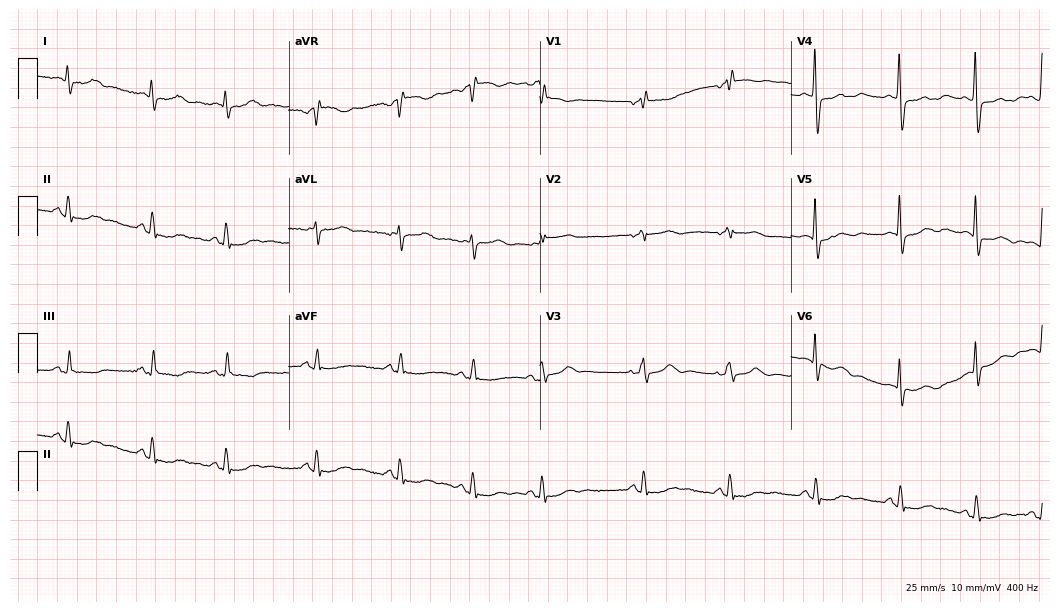
Resting 12-lead electrocardiogram (10.2-second recording at 400 Hz). Patient: an 80-year-old female. None of these six findings is recorded: first-degree AV block, right bundle branch block, left bundle branch block, sinus bradycardia, atrial fibrillation, sinus tachycardia. Only these six findings were labelled.